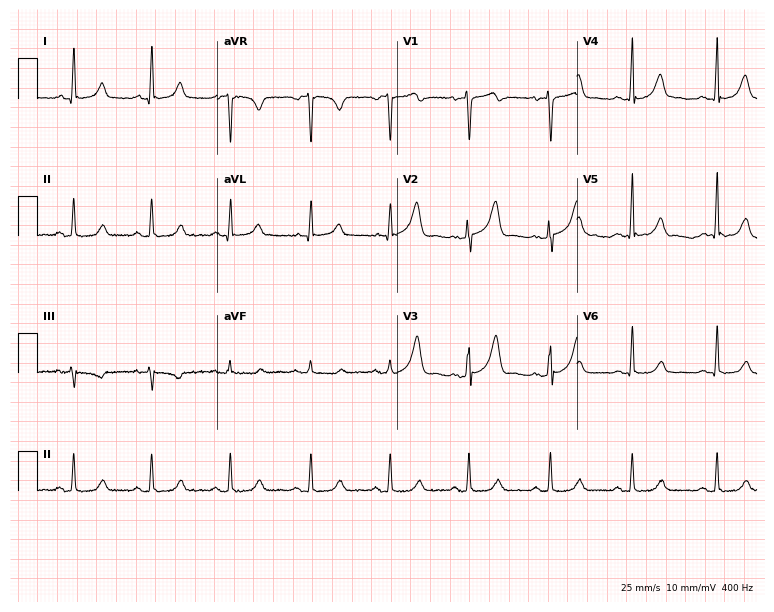
Standard 12-lead ECG recorded from a female patient, 39 years old (7.3-second recording at 400 Hz). None of these six findings is recorded: first-degree AV block, right bundle branch block (RBBB), left bundle branch block (LBBB), sinus bradycardia, atrial fibrillation (AF), sinus tachycardia. Only these six findings were labelled.